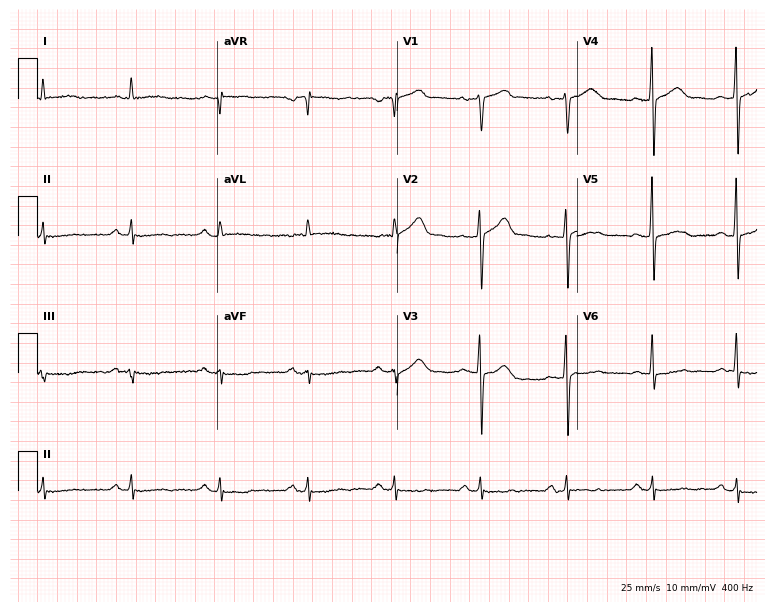
Standard 12-lead ECG recorded from a 67-year-old male patient (7.3-second recording at 400 Hz). None of these six findings is recorded: first-degree AV block, right bundle branch block (RBBB), left bundle branch block (LBBB), sinus bradycardia, atrial fibrillation (AF), sinus tachycardia. Only these six findings were labelled.